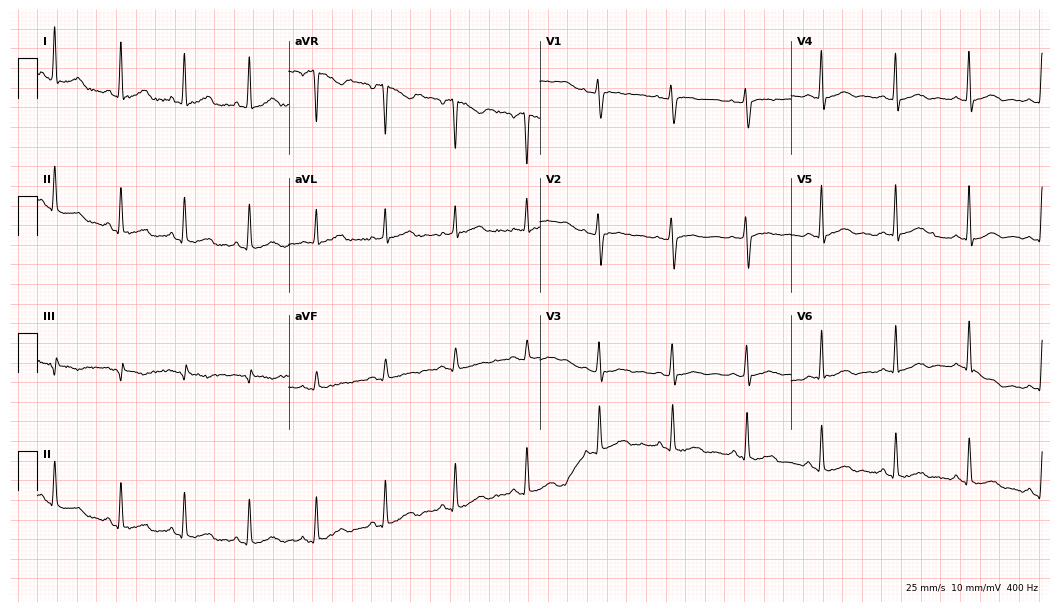
Standard 12-lead ECG recorded from a 37-year-old female patient (10.2-second recording at 400 Hz). Read as a normal ECG.